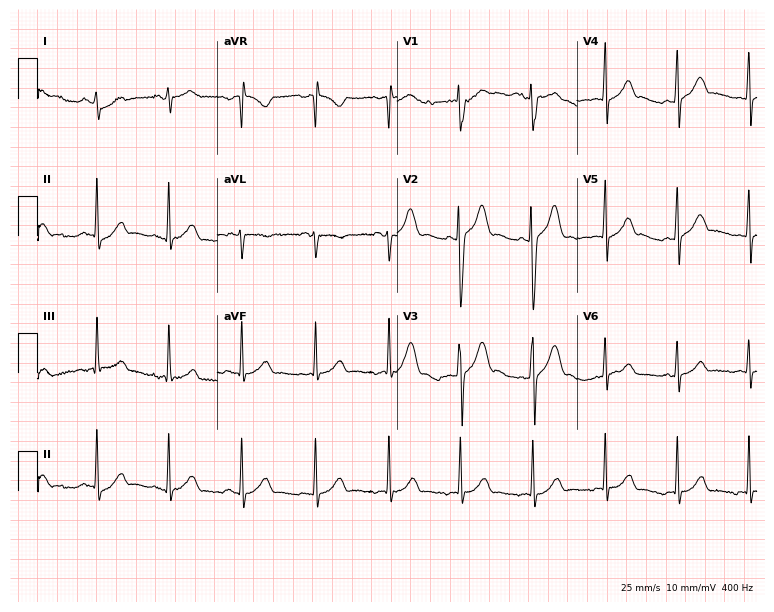
Resting 12-lead electrocardiogram. Patient: a man, 18 years old. None of these six findings is recorded: first-degree AV block, right bundle branch block (RBBB), left bundle branch block (LBBB), sinus bradycardia, atrial fibrillation (AF), sinus tachycardia.